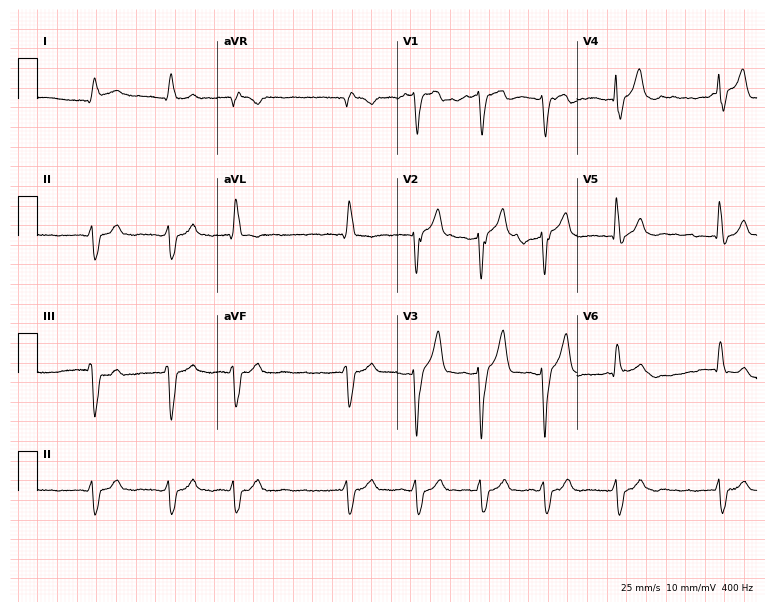
12-lead ECG from a 72-year-old male. Findings include atrial fibrillation.